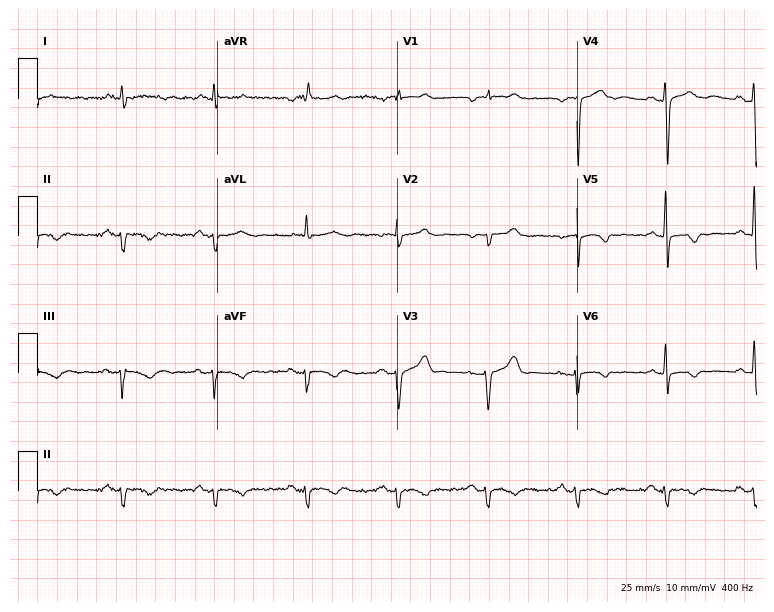
ECG — a man, 71 years old. Screened for six findings — first-degree AV block, right bundle branch block, left bundle branch block, sinus bradycardia, atrial fibrillation, sinus tachycardia — none is recorded.